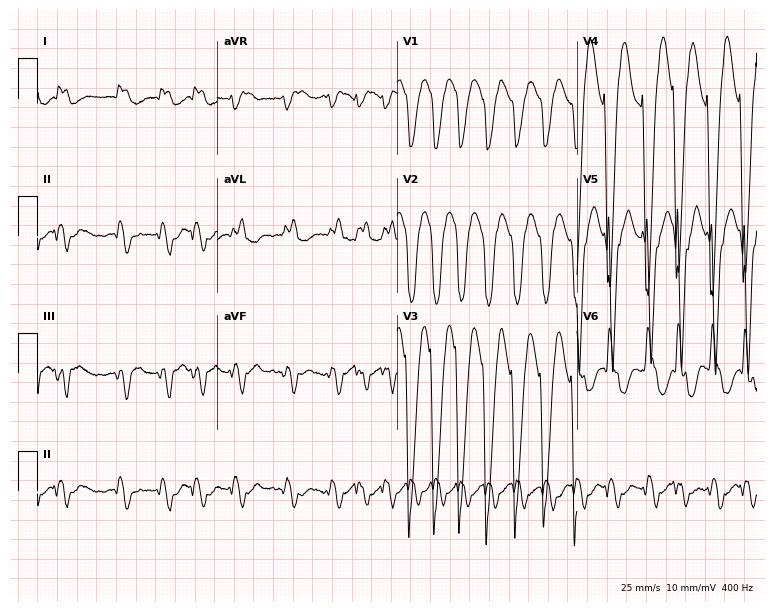
Resting 12-lead electrocardiogram. Patient: a 77-year-old man. The tracing shows atrial fibrillation (AF).